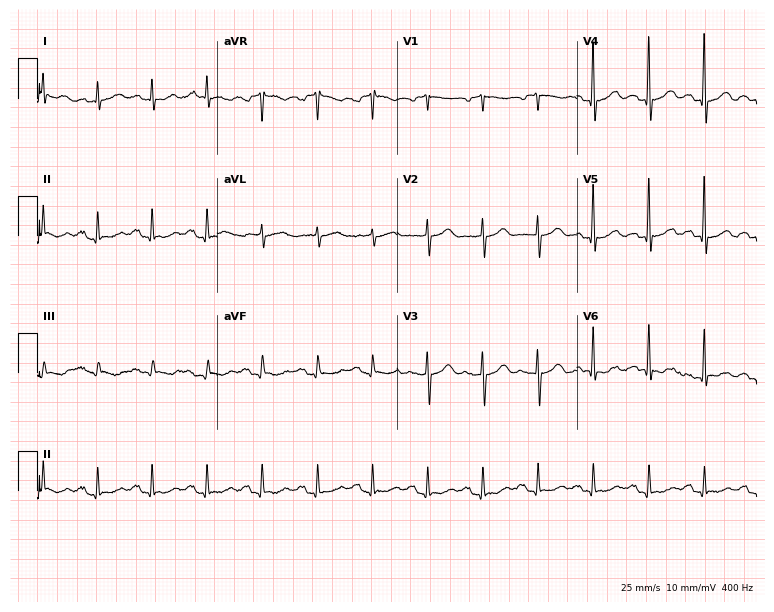
12-lead ECG from a female, 76 years old. Shows sinus tachycardia (a sinus rate of 100 beats per minute or more).